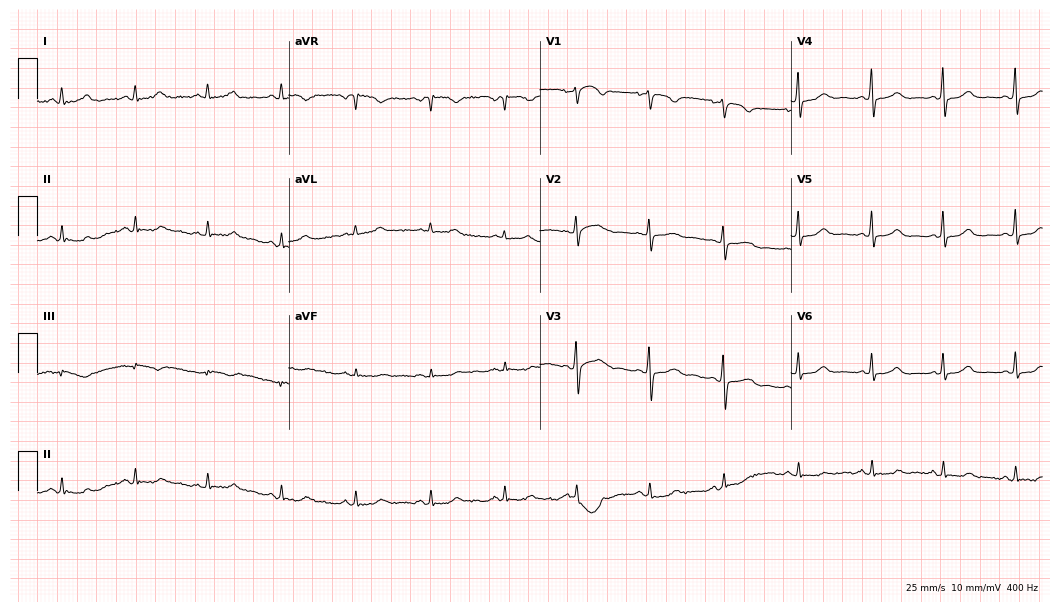
ECG — a 41-year-old female patient. Screened for six findings — first-degree AV block, right bundle branch block (RBBB), left bundle branch block (LBBB), sinus bradycardia, atrial fibrillation (AF), sinus tachycardia — none is recorded.